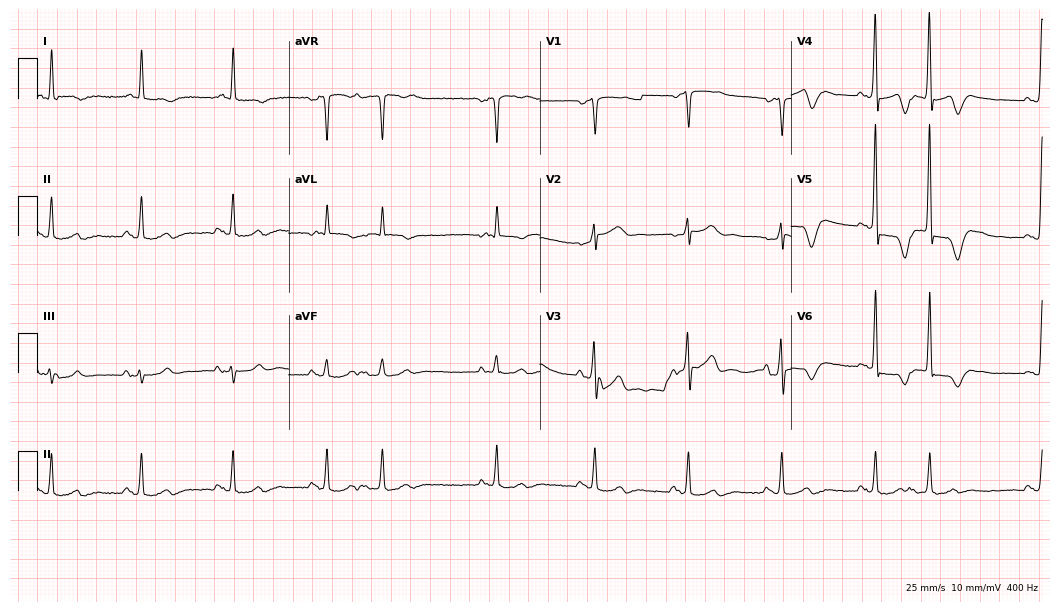
12-lead ECG from a 78-year-old male patient. No first-degree AV block, right bundle branch block (RBBB), left bundle branch block (LBBB), sinus bradycardia, atrial fibrillation (AF) or sinus tachycardia recorded for this tracing.